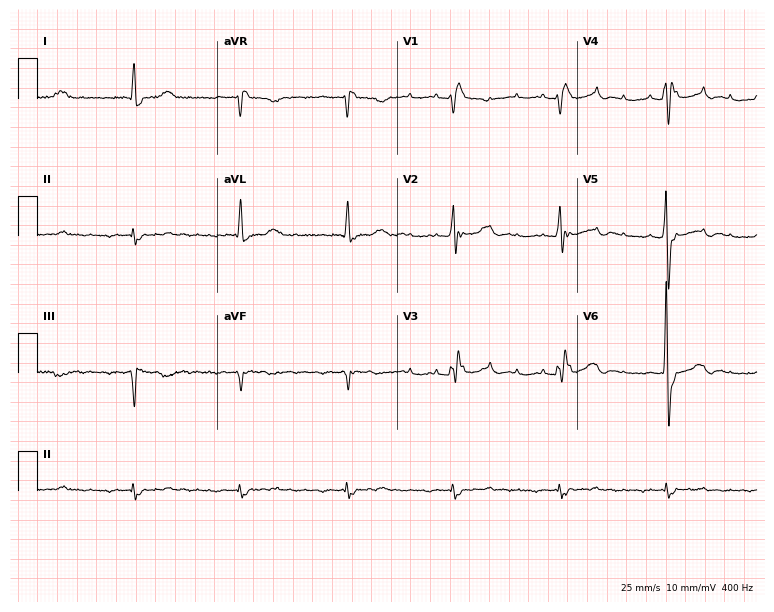
12-lead ECG from a man, 80 years old. Findings include right bundle branch block (RBBB).